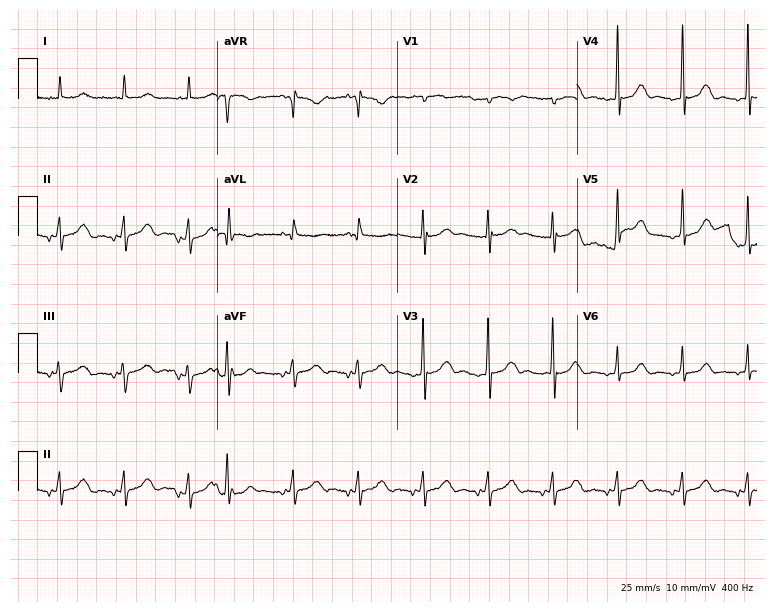
12-lead ECG from a 73-year-old man (7.3-second recording at 400 Hz). No first-degree AV block, right bundle branch block (RBBB), left bundle branch block (LBBB), sinus bradycardia, atrial fibrillation (AF) or sinus tachycardia recorded for this tracing.